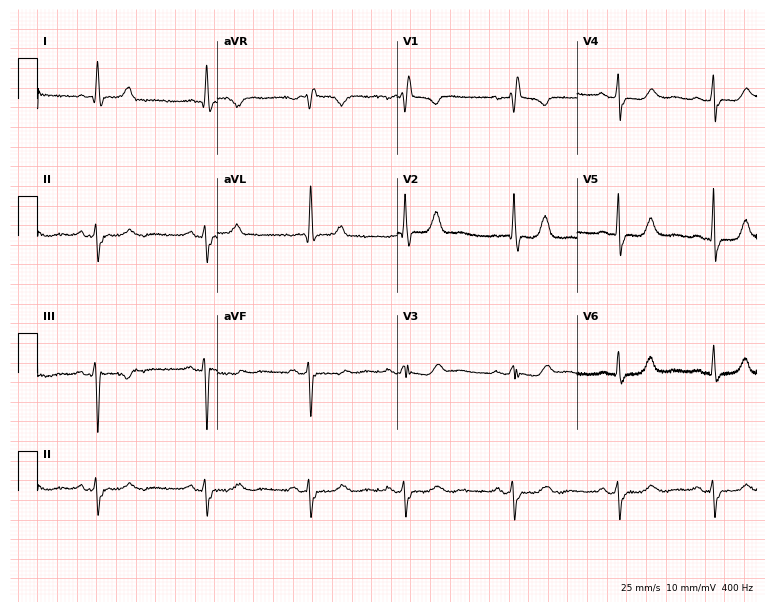
ECG — a 65-year-old female. Findings include right bundle branch block.